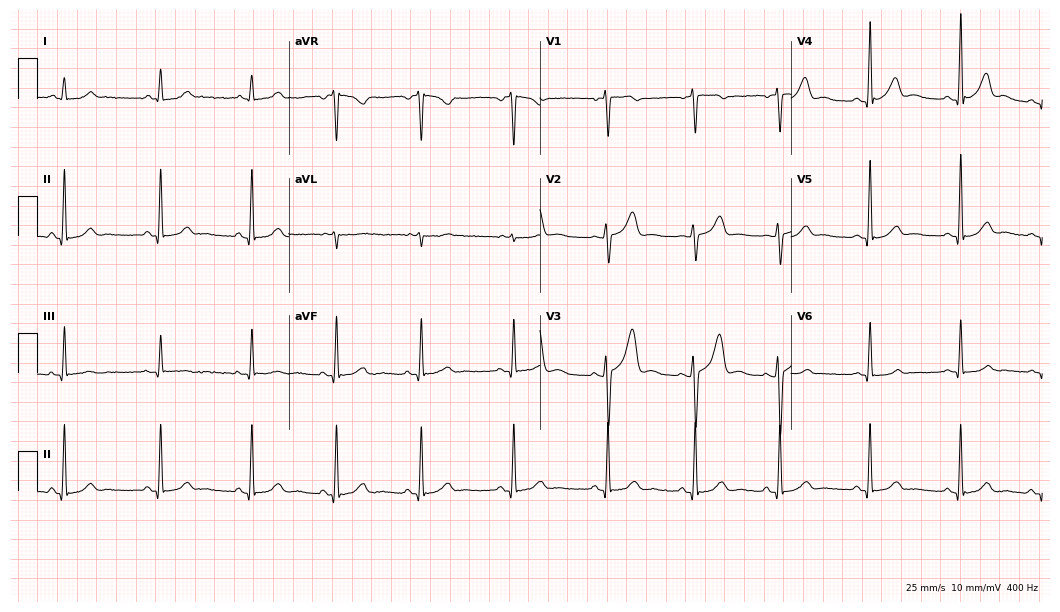
Standard 12-lead ECG recorded from a woman, 34 years old (10.2-second recording at 400 Hz). Read as a normal ECG.